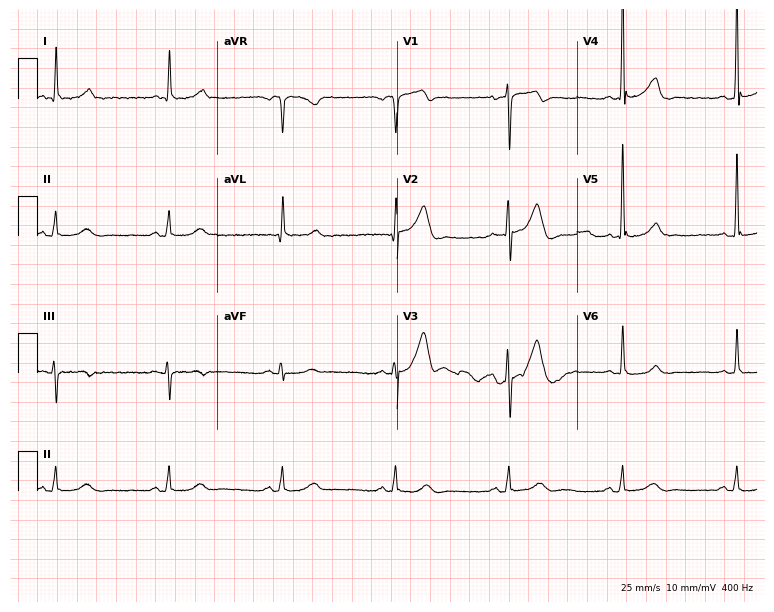
Resting 12-lead electrocardiogram. Patient: a male, 78 years old. Read as a normal ECG.